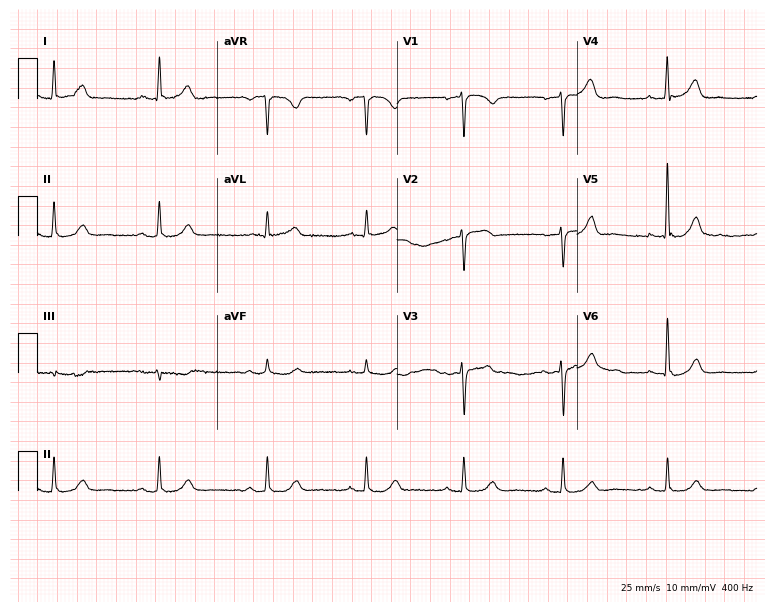
12-lead ECG from a woman, 56 years old. Recorded interpretation: within normal limits.